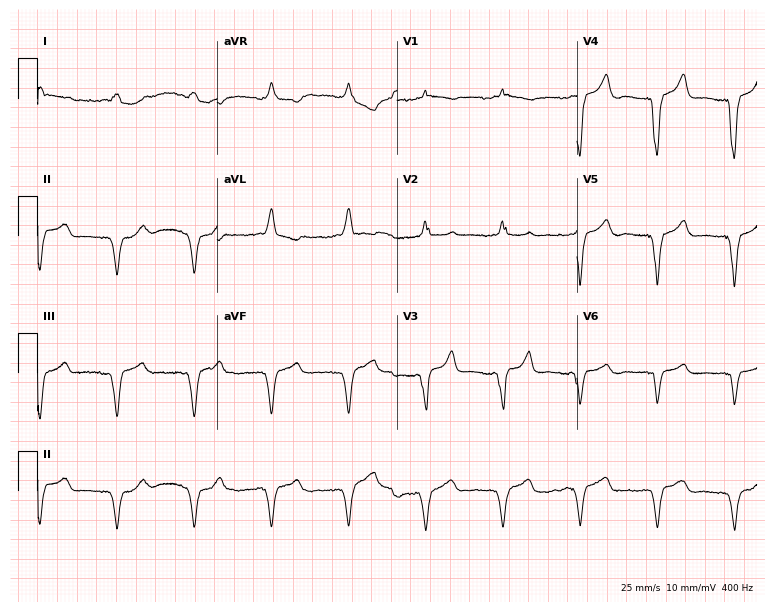
Standard 12-lead ECG recorded from a male, 87 years old. None of these six findings is recorded: first-degree AV block, right bundle branch block (RBBB), left bundle branch block (LBBB), sinus bradycardia, atrial fibrillation (AF), sinus tachycardia.